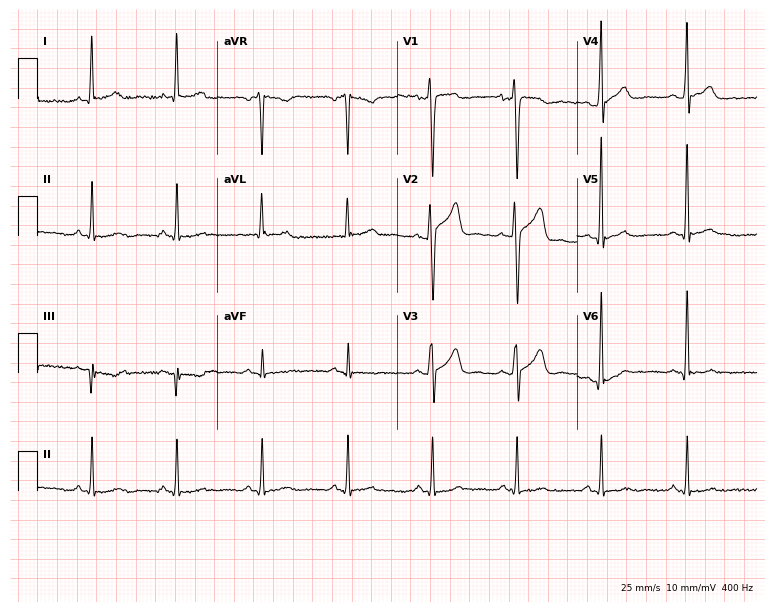
ECG — a 38-year-old male. Screened for six findings — first-degree AV block, right bundle branch block (RBBB), left bundle branch block (LBBB), sinus bradycardia, atrial fibrillation (AF), sinus tachycardia — none is recorded. Findings outside these six are not listed.